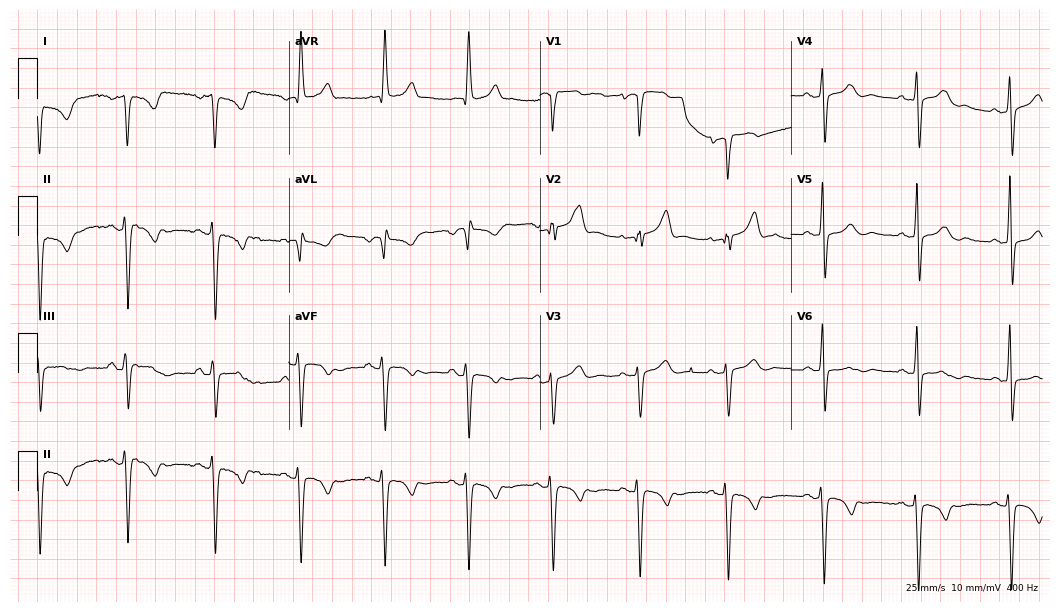
ECG (10.2-second recording at 400 Hz) — a female patient, 65 years old. Screened for six findings — first-degree AV block, right bundle branch block (RBBB), left bundle branch block (LBBB), sinus bradycardia, atrial fibrillation (AF), sinus tachycardia — none is recorded.